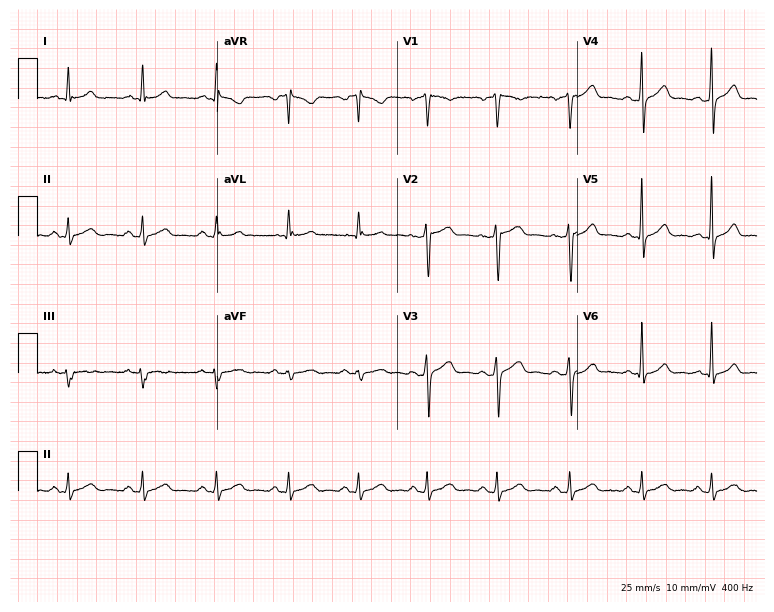
Standard 12-lead ECG recorded from a 42-year-old male. Read as a normal ECG.